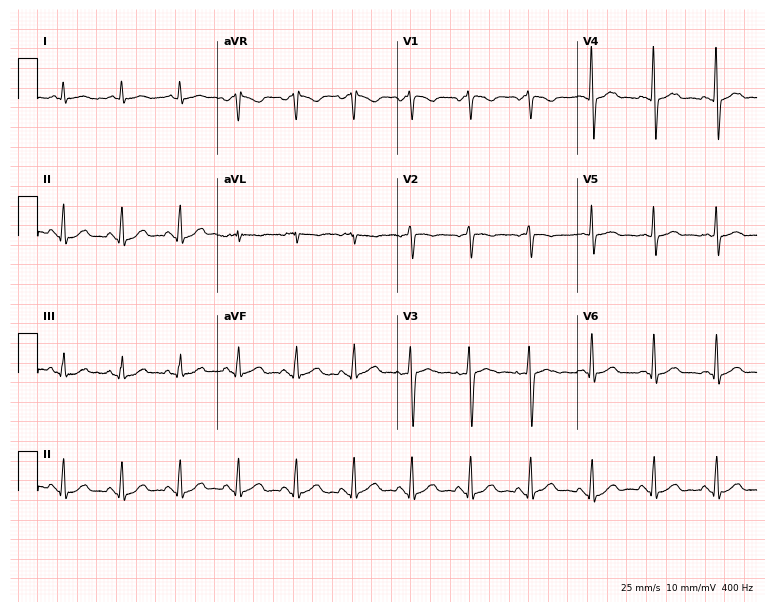
12-lead ECG from a 53-year-old female (7.3-second recording at 400 Hz). Recorded interpretation: within normal limits.